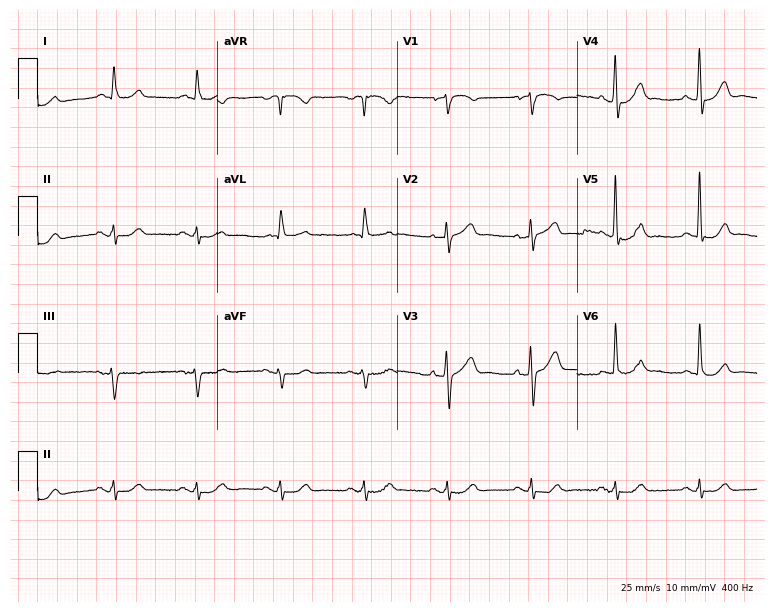
Electrocardiogram, a 79-year-old man. Overall reading on record: normal ECG.